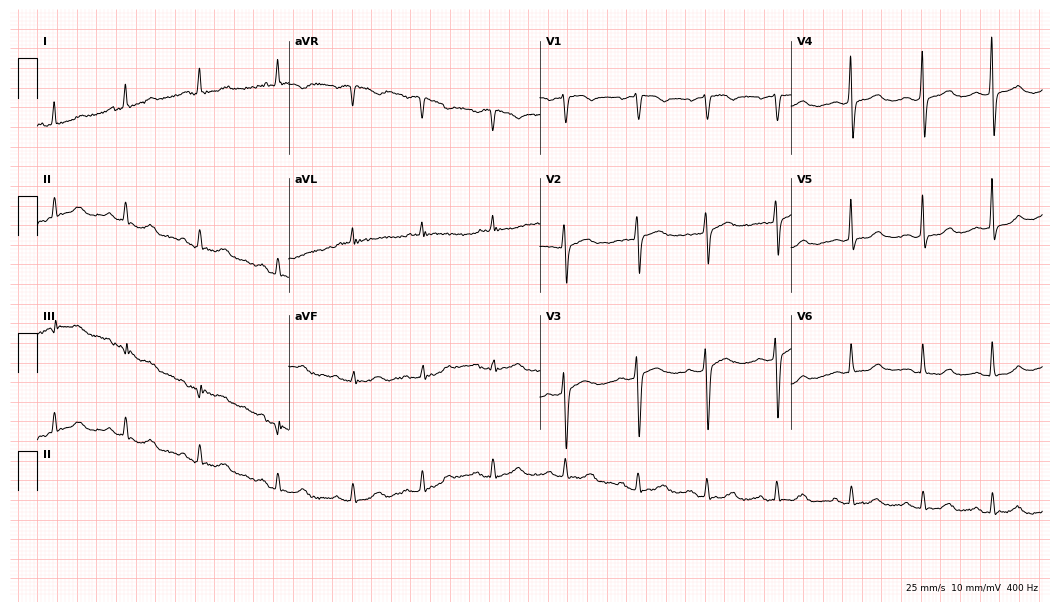
12-lead ECG from a woman, 68 years old. No first-degree AV block, right bundle branch block (RBBB), left bundle branch block (LBBB), sinus bradycardia, atrial fibrillation (AF) or sinus tachycardia recorded for this tracing. Only these six findings were labelled.